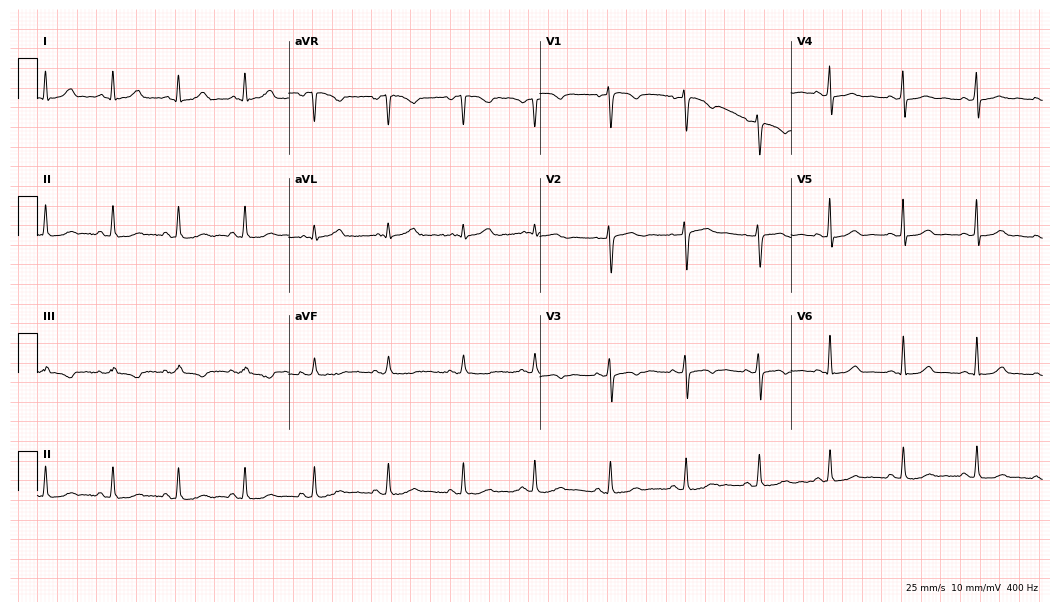
12-lead ECG from a 50-year-old female patient. Screened for six findings — first-degree AV block, right bundle branch block, left bundle branch block, sinus bradycardia, atrial fibrillation, sinus tachycardia — none is recorded.